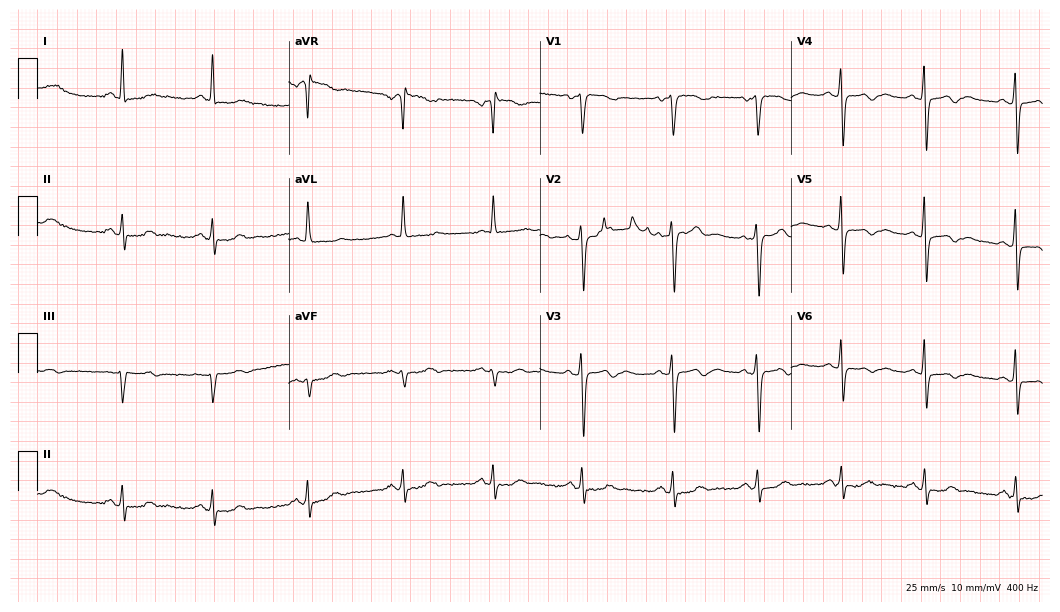
12-lead ECG from a 50-year-old female patient (10.2-second recording at 400 Hz). No first-degree AV block, right bundle branch block, left bundle branch block, sinus bradycardia, atrial fibrillation or sinus tachycardia recorded for this tracing. Findings outside these six are not listed.